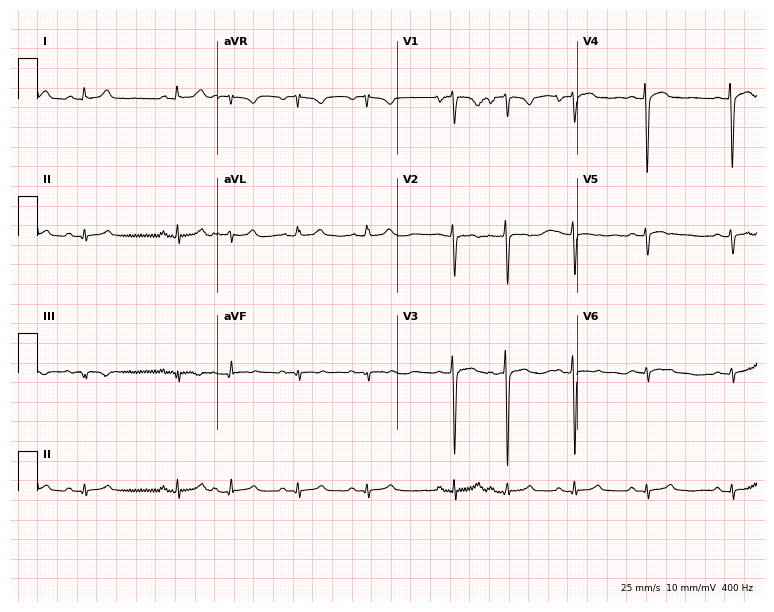
12-lead ECG from an 83-year-old female patient. Screened for six findings — first-degree AV block, right bundle branch block, left bundle branch block, sinus bradycardia, atrial fibrillation, sinus tachycardia — none is recorded. Findings outside these six are not listed.